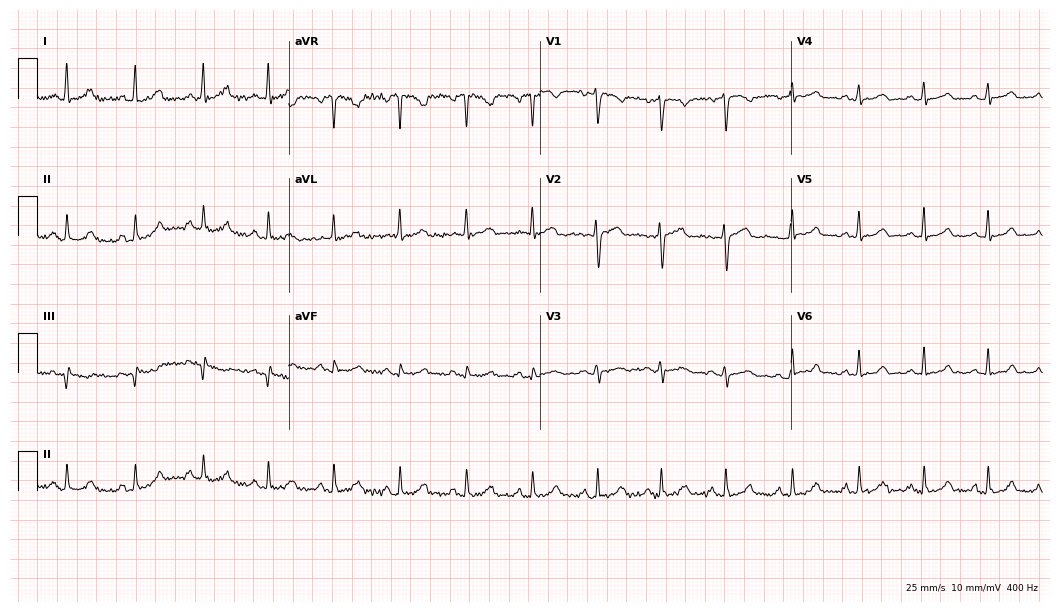
Electrocardiogram, a female patient, 35 years old. Overall reading on record: normal ECG.